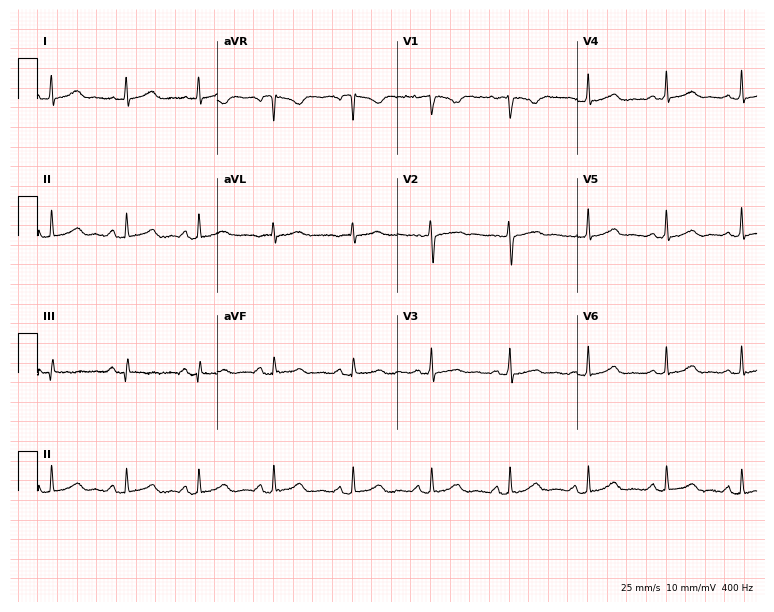
12-lead ECG (7.3-second recording at 400 Hz) from a female, 30 years old. Labelled as a normal ECG.